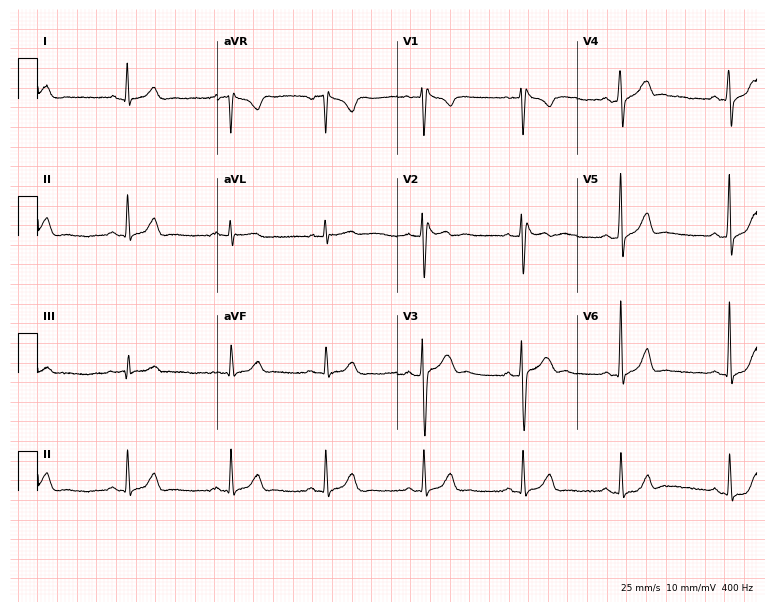
Standard 12-lead ECG recorded from a 34-year-old male patient. None of these six findings is recorded: first-degree AV block, right bundle branch block (RBBB), left bundle branch block (LBBB), sinus bradycardia, atrial fibrillation (AF), sinus tachycardia. Findings outside these six are not listed.